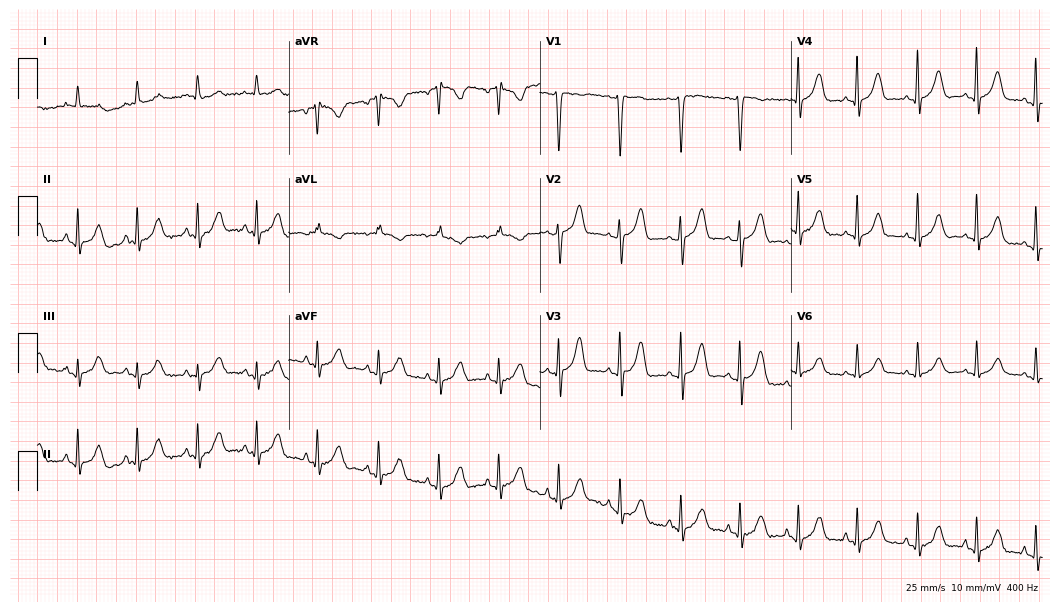
Resting 12-lead electrocardiogram (10.2-second recording at 400 Hz). Patient: a 71-year-old female. None of these six findings is recorded: first-degree AV block, right bundle branch block, left bundle branch block, sinus bradycardia, atrial fibrillation, sinus tachycardia.